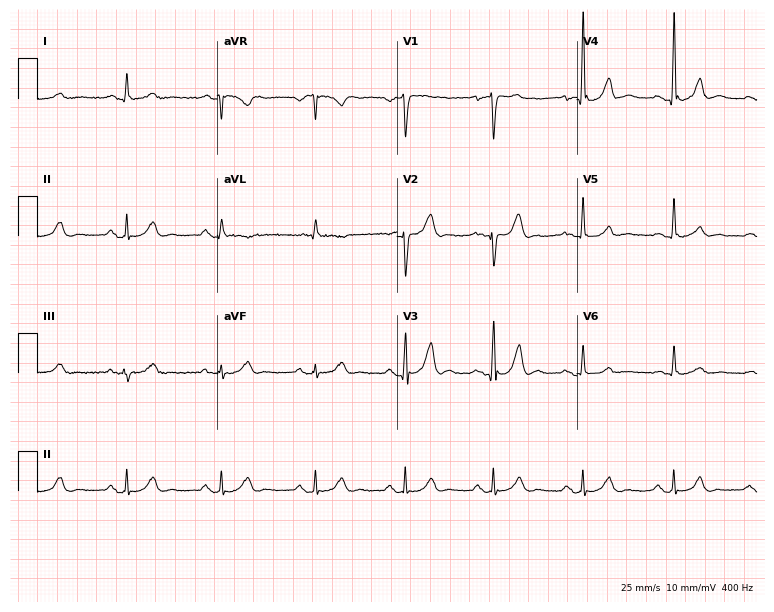
ECG (7.3-second recording at 400 Hz) — a male, 38 years old. Labelled as a normal ECG.